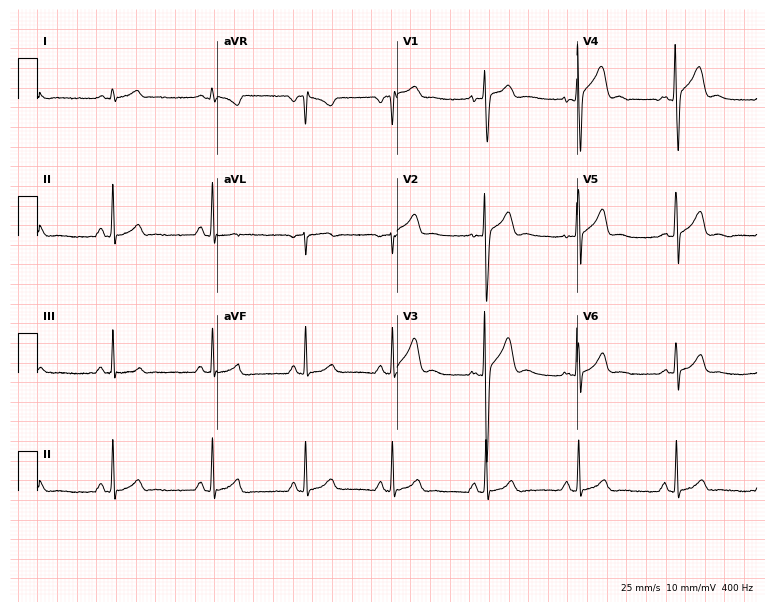
ECG — a man, 17 years old. Labelled as a normal ECG.